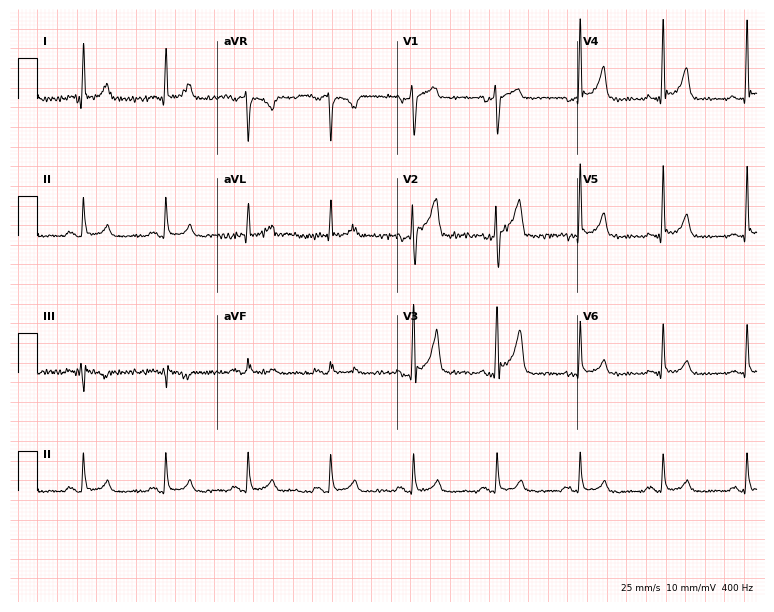
Electrocardiogram (7.3-second recording at 400 Hz), a female, 60 years old. Overall reading on record: normal ECG.